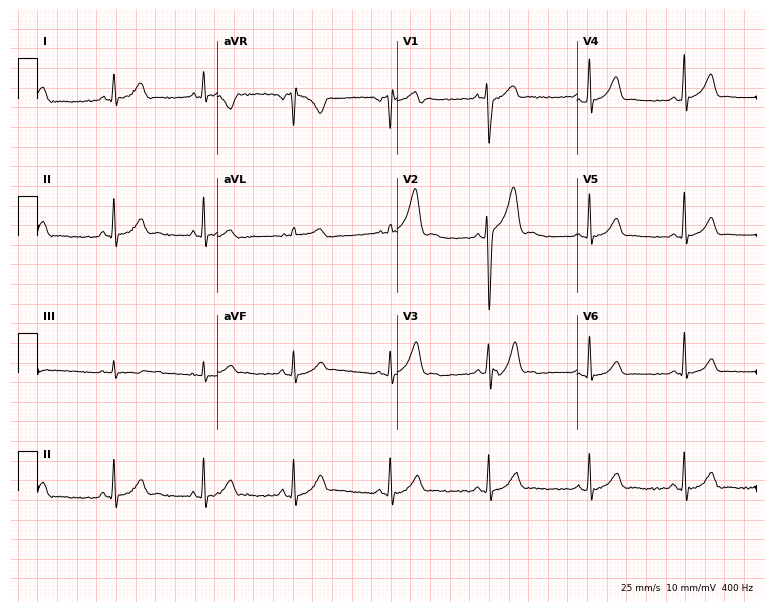
12-lead ECG from a male patient, 25 years old. No first-degree AV block, right bundle branch block, left bundle branch block, sinus bradycardia, atrial fibrillation or sinus tachycardia recorded for this tracing. Findings outside these six are not listed.